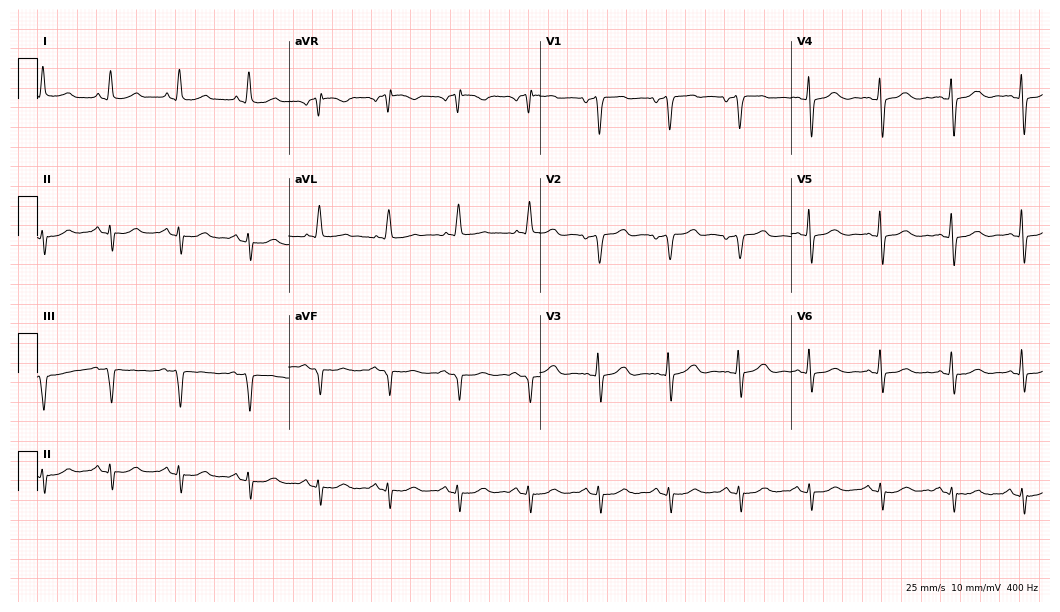
Standard 12-lead ECG recorded from an 83-year-old female patient (10.2-second recording at 400 Hz). None of these six findings is recorded: first-degree AV block, right bundle branch block, left bundle branch block, sinus bradycardia, atrial fibrillation, sinus tachycardia. Other findings, if any, are not listed.